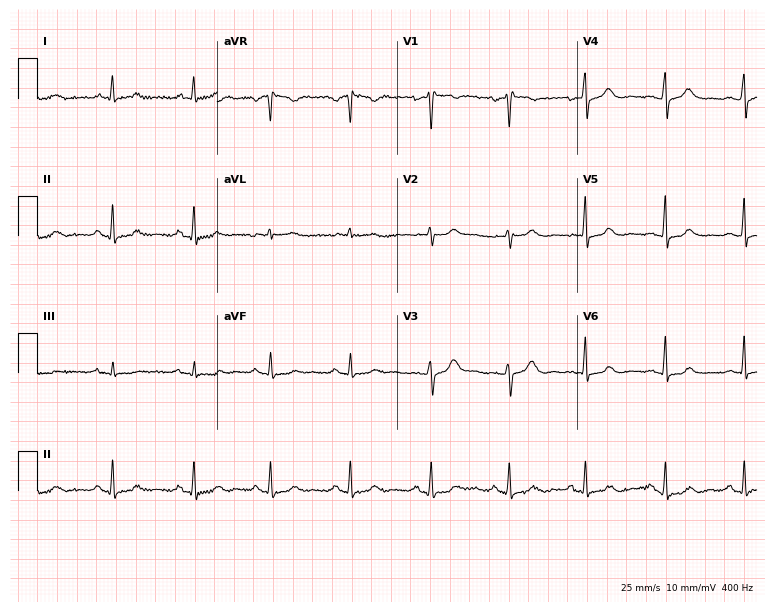
ECG — a 43-year-old woman. Labelled as a normal ECG.